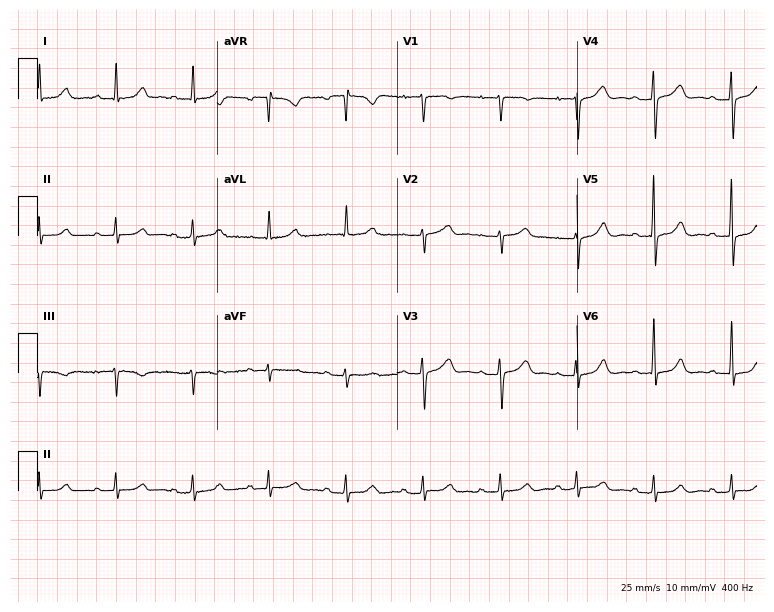
12-lead ECG from an 81-year-old female. Recorded interpretation: within normal limits.